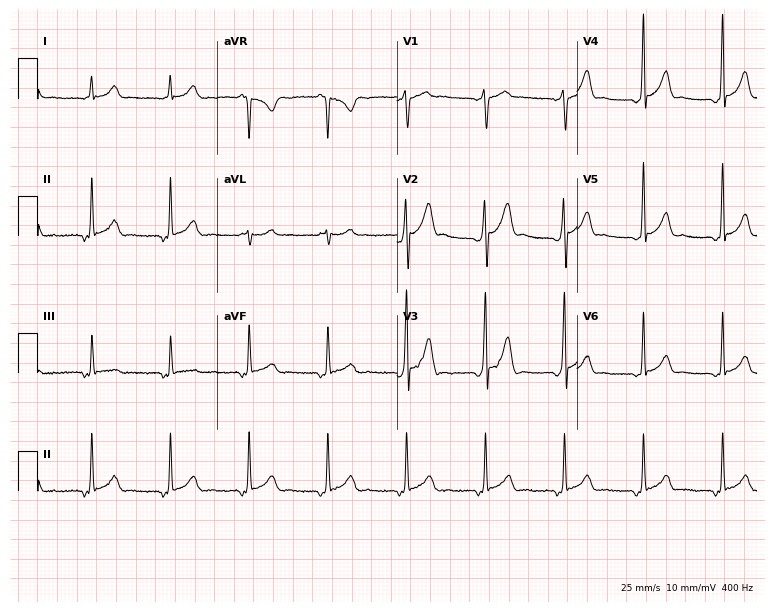
12-lead ECG from a male patient, 25 years old. Screened for six findings — first-degree AV block, right bundle branch block, left bundle branch block, sinus bradycardia, atrial fibrillation, sinus tachycardia — none is recorded.